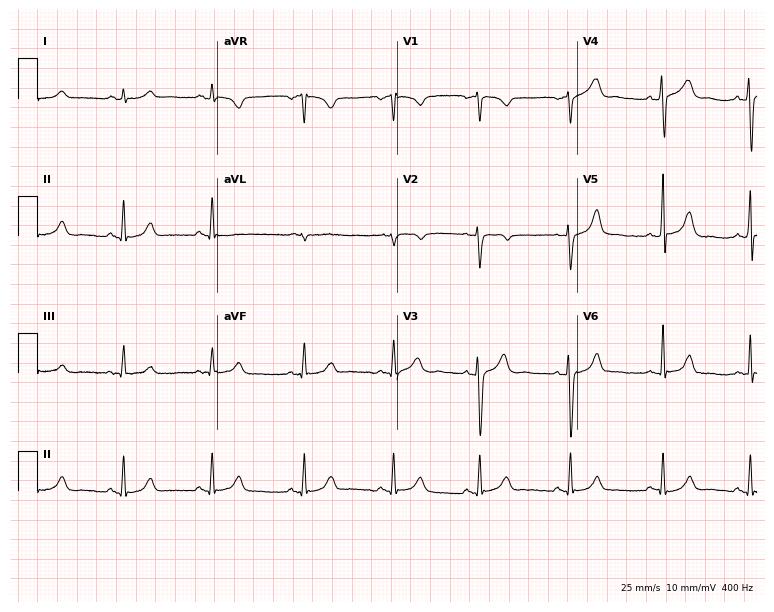
Standard 12-lead ECG recorded from a male patient, 34 years old (7.3-second recording at 400 Hz). Read as a normal ECG.